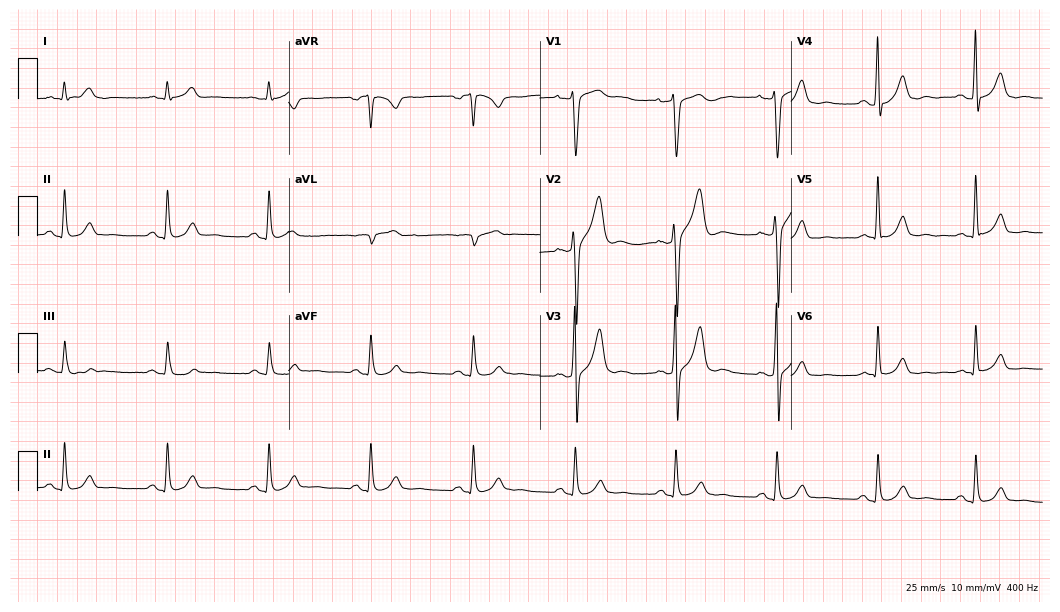
Electrocardiogram (10.2-second recording at 400 Hz), a 37-year-old woman. Overall reading on record: normal ECG.